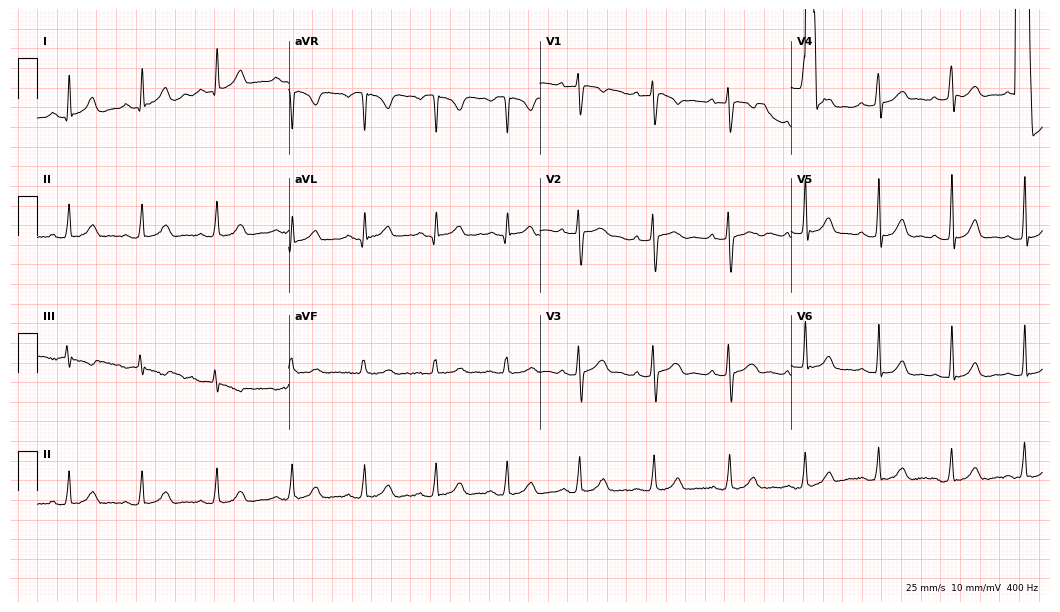
Standard 12-lead ECG recorded from a 38-year-old female (10.2-second recording at 400 Hz). Read as a normal ECG.